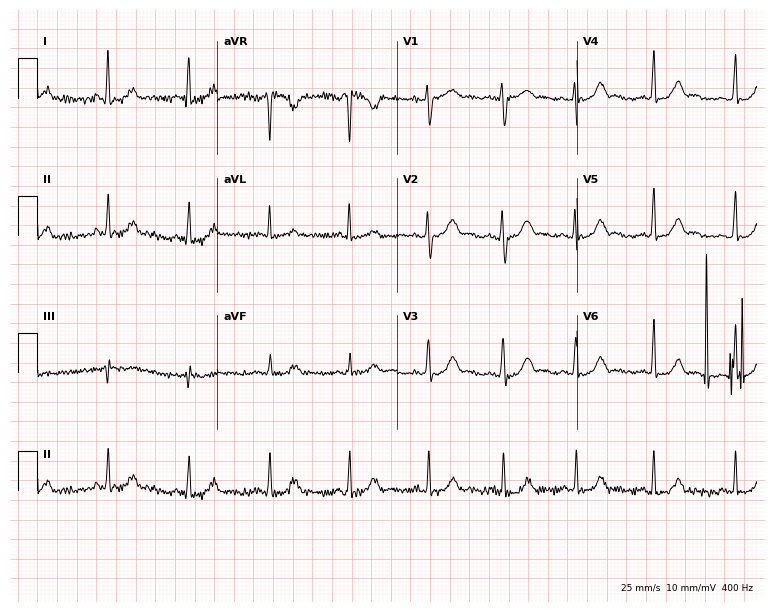
Resting 12-lead electrocardiogram (7.3-second recording at 400 Hz). Patient: a 19-year-old female. None of these six findings is recorded: first-degree AV block, right bundle branch block, left bundle branch block, sinus bradycardia, atrial fibrillation, sinus tachycardia. Findings outside these six are not listed.